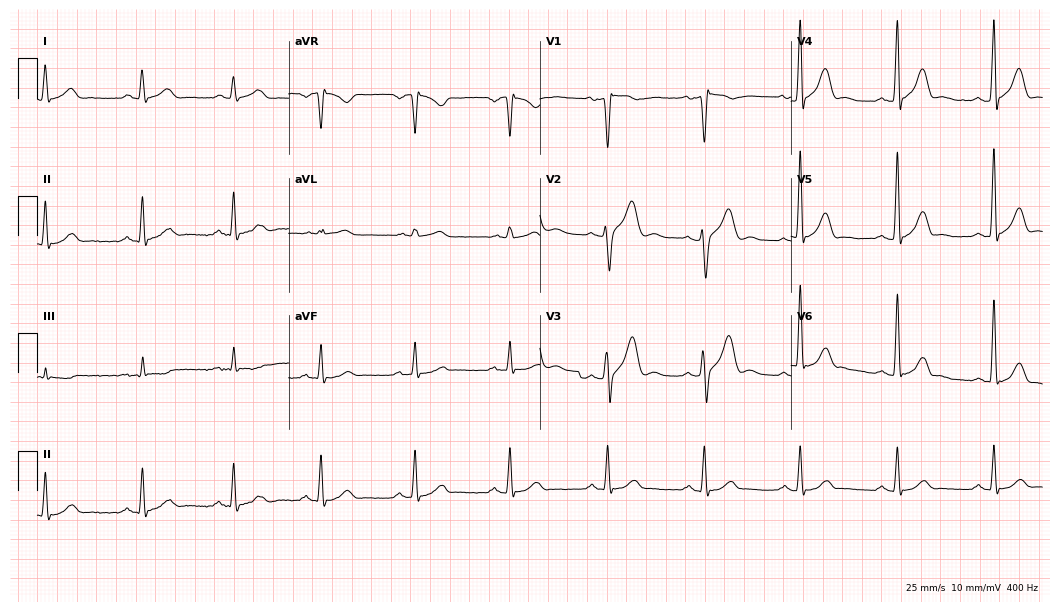
Standard 12-lead ECG recorded from a male patient, 48 years old (10.2-second recording at 400 Hz). Read as a normal ECG.